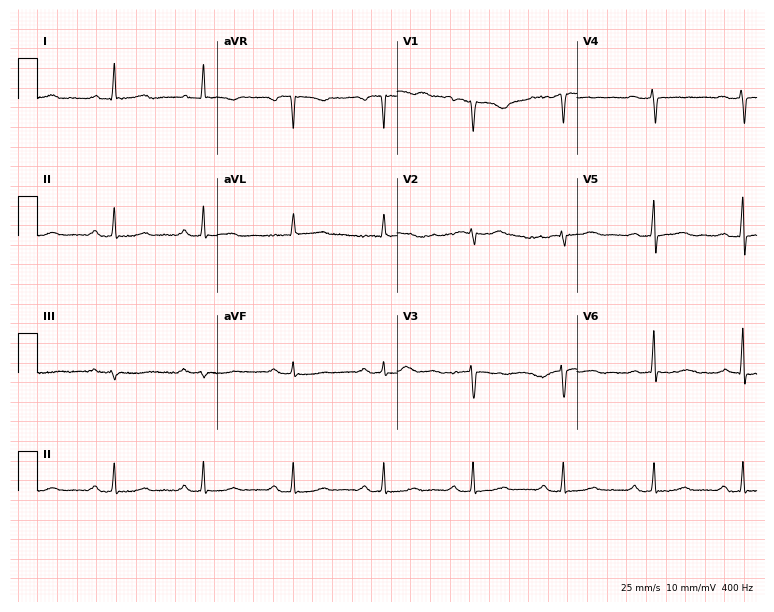
ECG — a 65-year-old woman. Screened for six findings — first-degree AV block, right bundle branch block (RBBB), left bundle branch block (LBBB), sinus bradycardia, atrial fibrillation (AF), sinus tachycardia — none is recorded. Other findings, if any, are not listed.